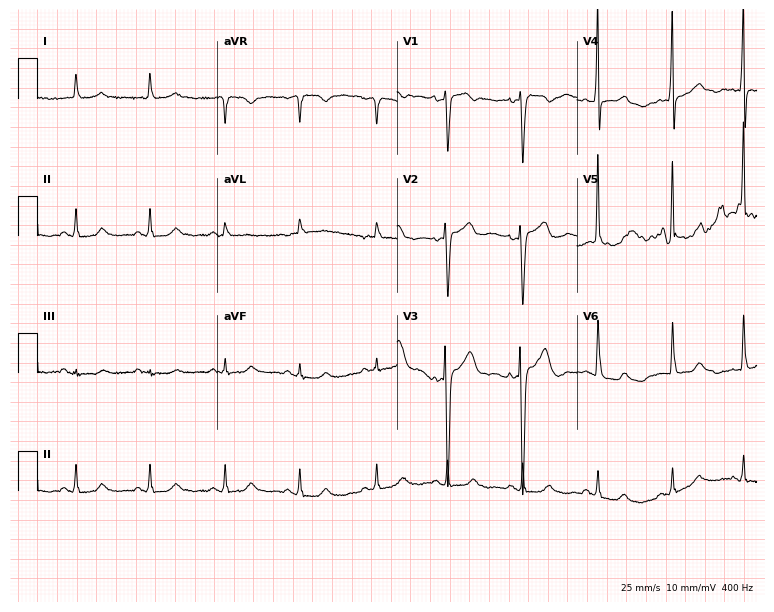
12-lead ECG from a 71-year-old woman. Screened for six findings — first-degree AV block, right bundle branch block, left bundle branch block, sinus bradycardia, atrial fibrillation, sinus tachycardia — none is recorded.